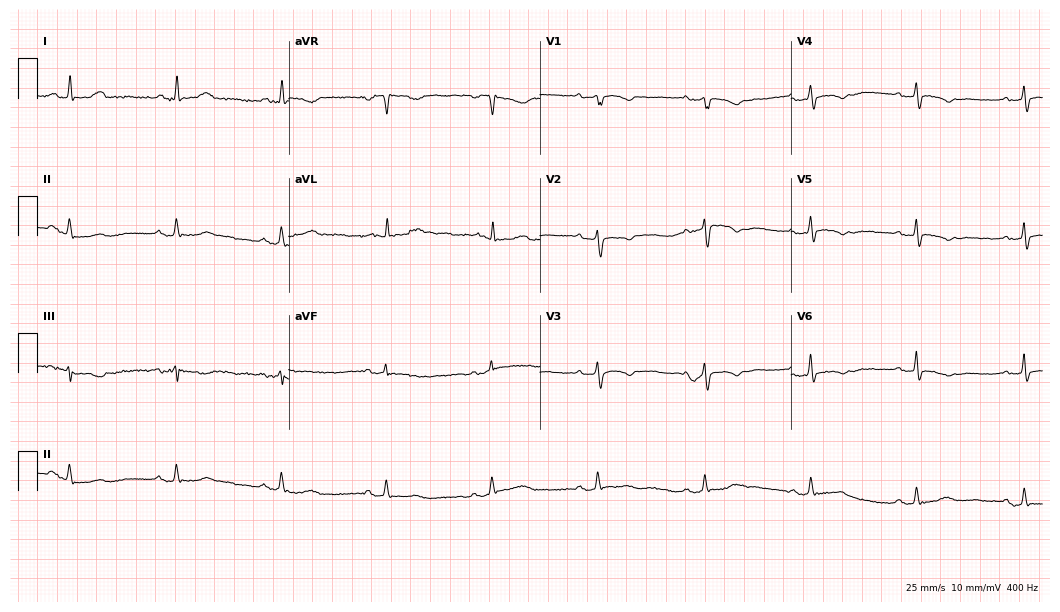
12-lead ECG from a 63-year-old female. No first-degree AV block, right bundle branch block (RBBB), left bundle branch block (LBBB), sinus bradycardia, atrial fibrillation (AF) or sinus tachycardia recorded for this tracing. Only these six findings were labelled.